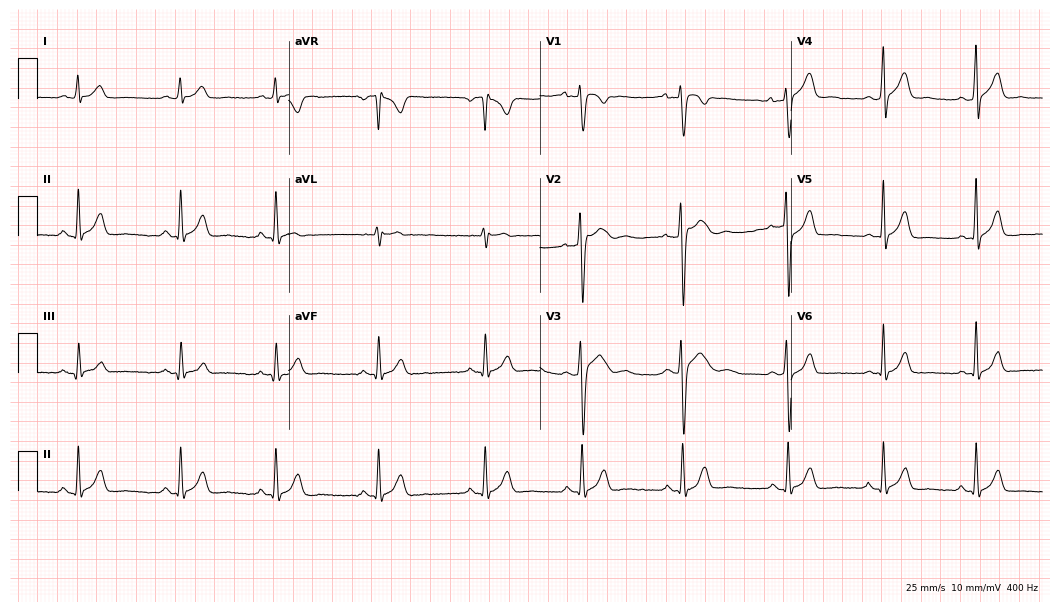
12-lead ECG from a male patient, 21 years old (10.2-second recording at 400 Hz). Recorded interpretation: within normal limits.